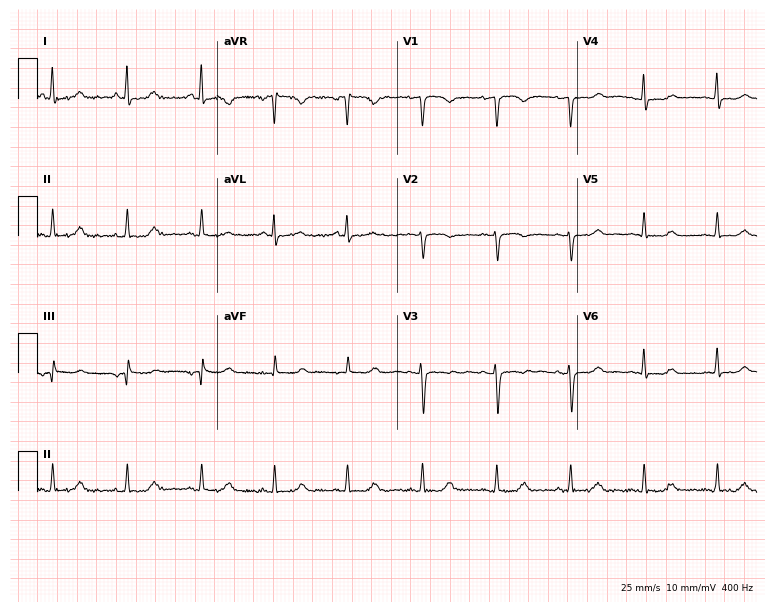
Standard 12-lead ECG recorded from a female, 50 years old. None of these six findings is recorded: first-degree AV block, right bundle branch block, left bundle branch block, sinus bradycardia, atrial fibrillation, sinus tachycardia.